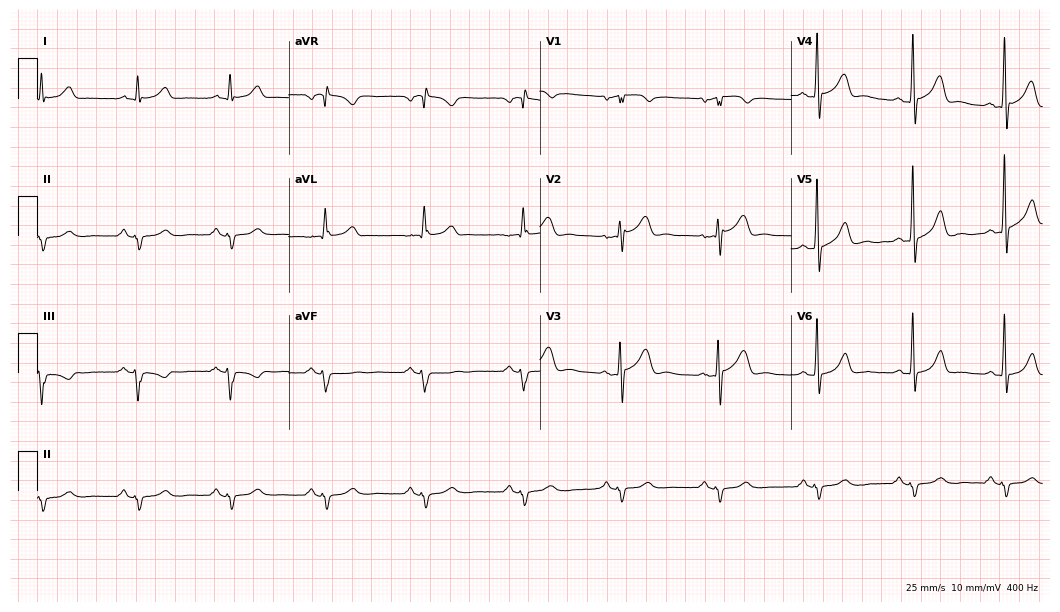
ECG (10.2-second recording at 400 Hz) — a male patient, 65 years old. Screened for six findings — first-degree AV block, right bundle branch block, left bundle branch block, sinus bradycardia, atrial fibrillation, sinus tachycardia — none is recorded.